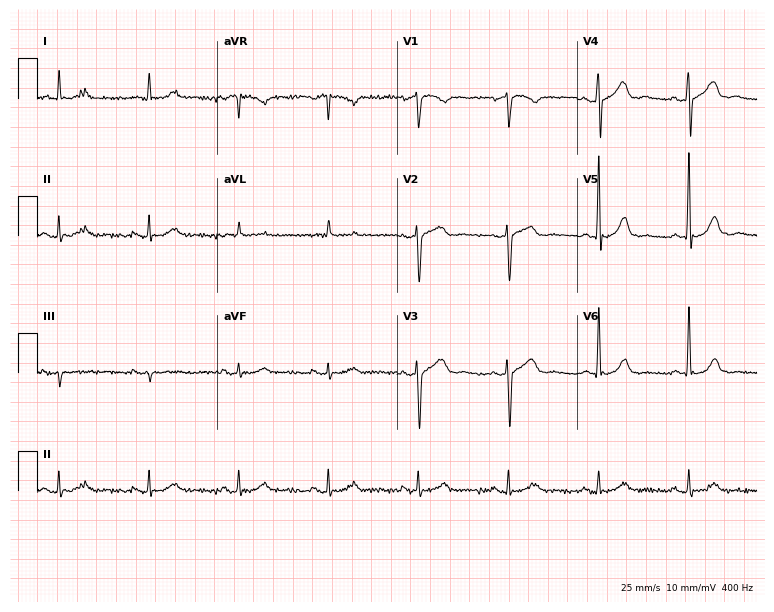
Resting 12-lead electrocardiogram (7.3-second recording at 400 Hz). Patient: a 70-year-old male. None of these six findings is recorded: first-degree AV block, right bundle branch block (RBBB), left bundle branch block (LBBB), sinus bradycardia, atrial fibrillation (AF), sinus tachycardia. Findings outside these six are not listed.